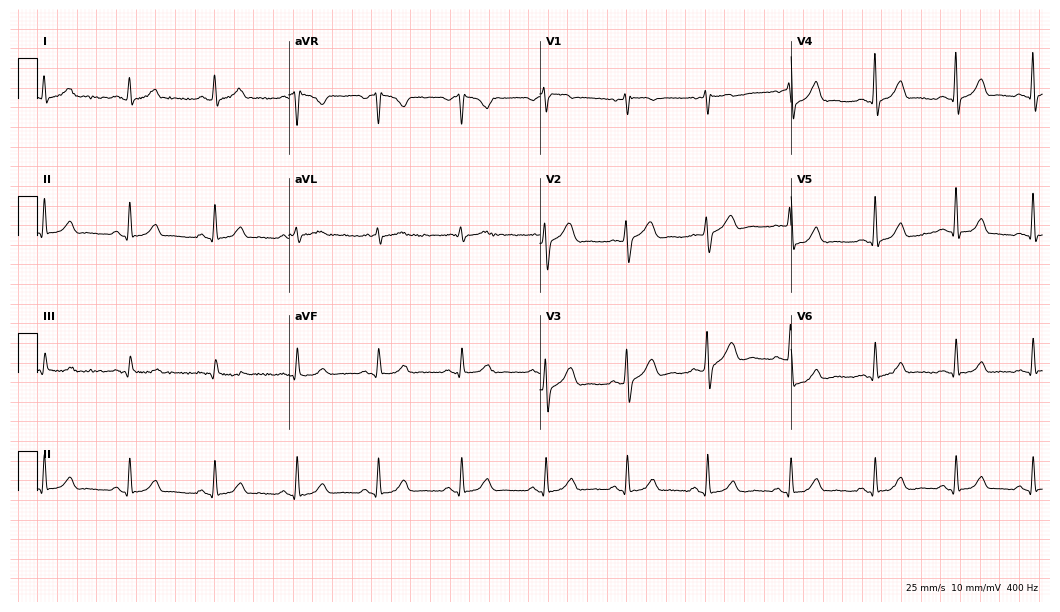
Resting 12-lead electrocardiogram. Patient: a male, 57 years old. Read as a normal ECG.